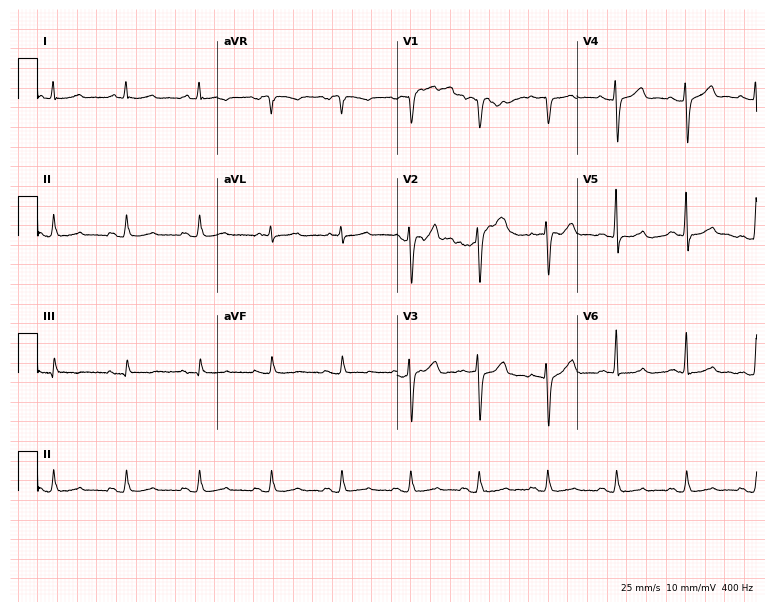
12-lead ECG from a 58-year-old male patient (7.3-second recording at 400 Hz). No first-degree AV block, right bundle branch block, left bundle branch block, sinus bradycardia, atrial fibrillation or sinus tachycardia recorded for this tracing.